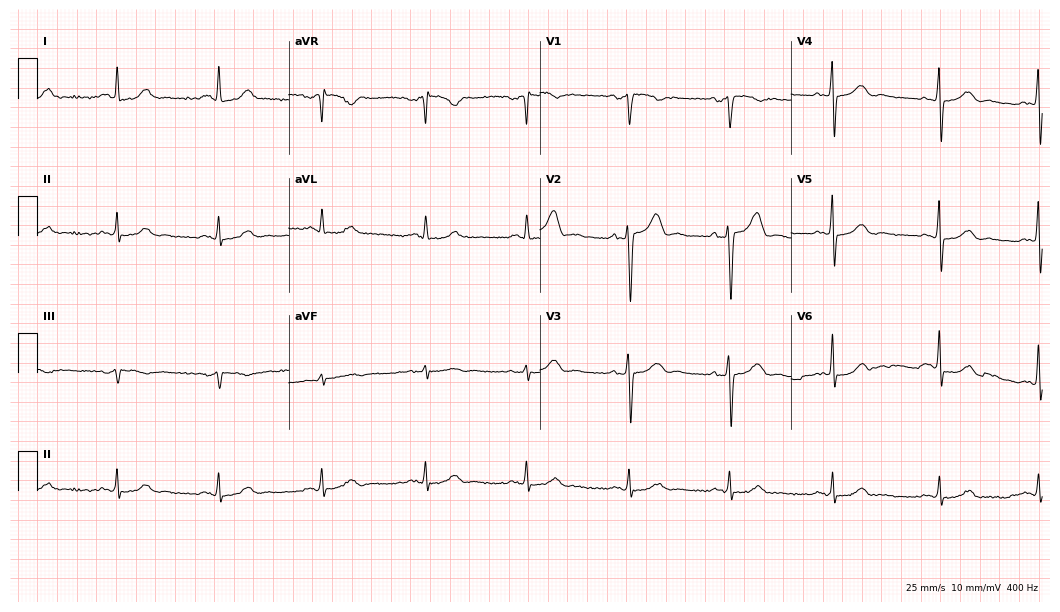
Electrocardiogram, a 67-year-old male. Of the six screened findings (first-degree AV block, right bundle branch block, left bundle branch block, sinus bradycardia, atrial fibrillation, sinus tachycardia), none is recorded. Findings outside these six are not listed.